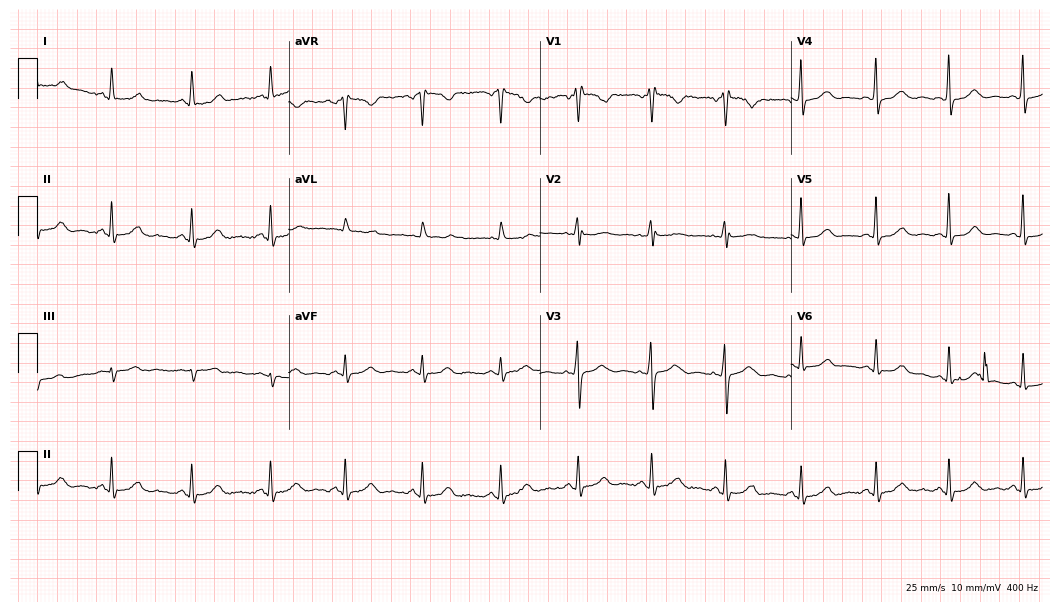
Standard 12-lead ECG recorded from a 42-year-old female (10.2-second recording at 400 Hz). Read as a normal ECG.